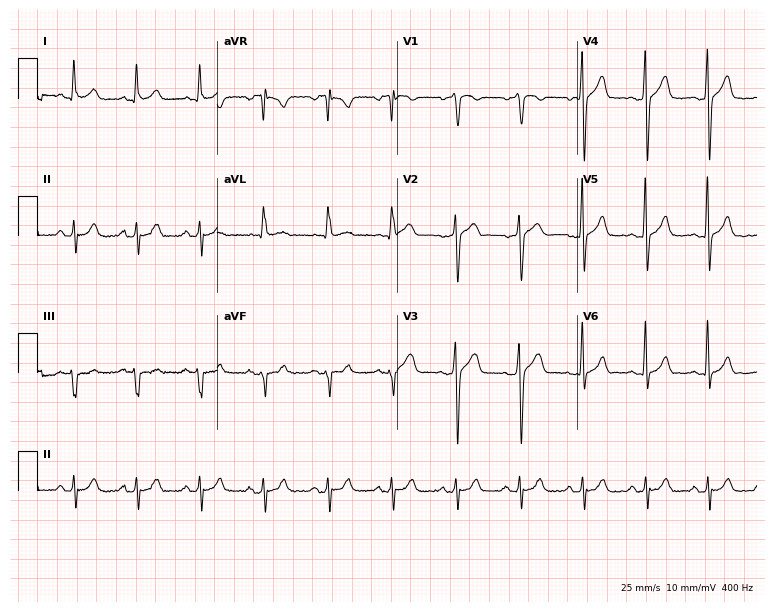
12-lead ECG from a 45-year-old male patient. No first-degree AV block, right bundle branch block, left bundle branch block, sinus bradycardia, atrial fibrillation or sinus tachycardia recorded for this tracing.